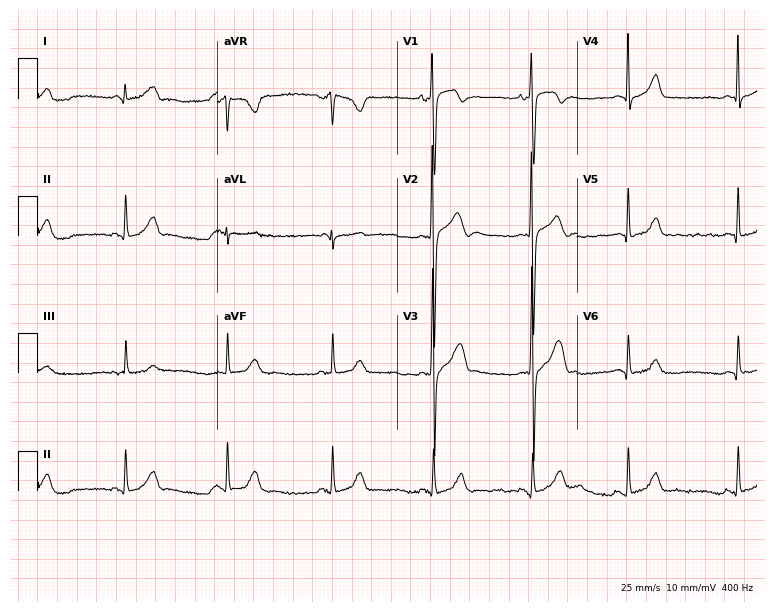
Resting 12-lead electrocardiogram (7.3-second recording at 400 Hz). Patient: a male, 17 years old. Read as a normal ECG.